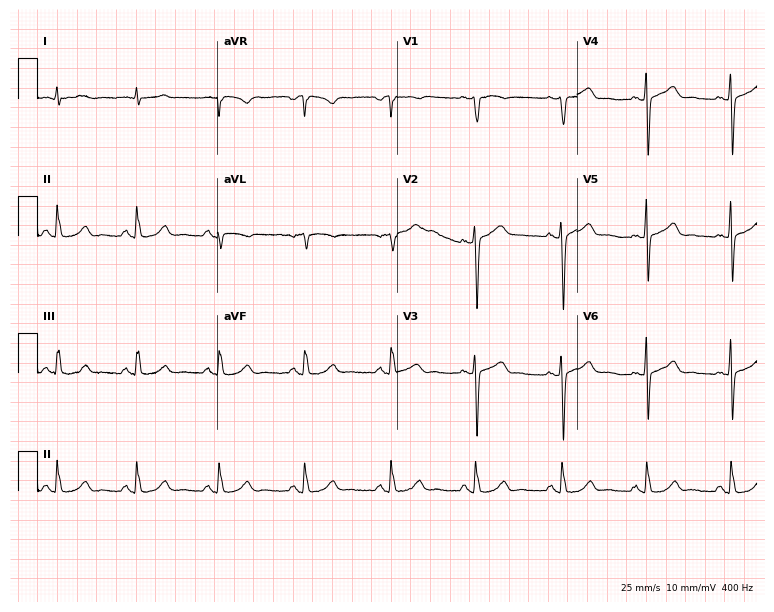
Standard 12-lead ECG recorded from a 64-year-old male patient. Read as a normal ECG.